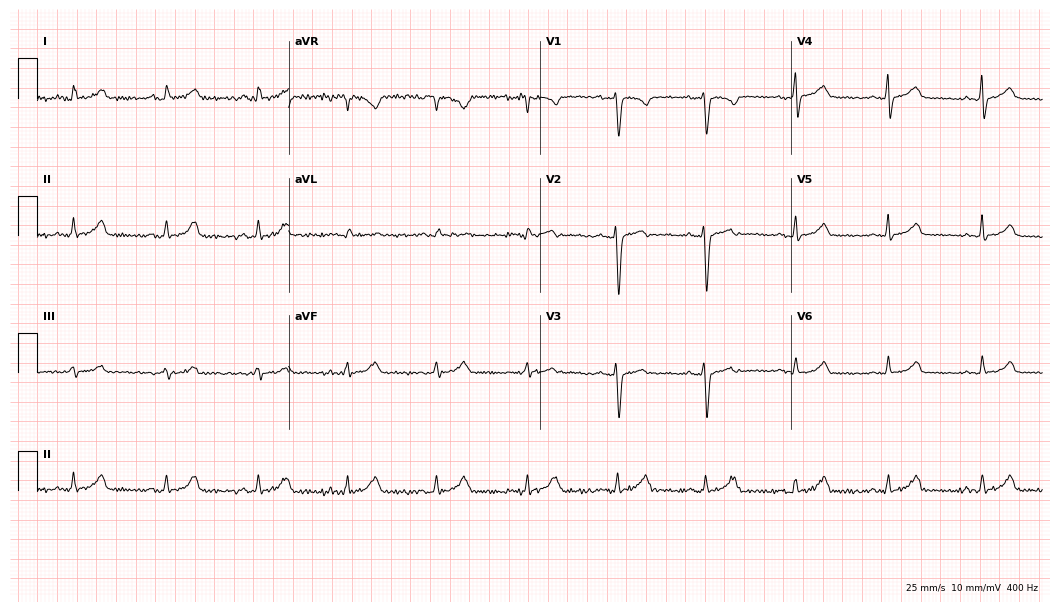
12-lead ECG from a 31-year-old woman (10.2-second recording at 400 Hz). No first-degree AV block, right bundle branch block, left bundle branch block, sinus bradycardia, atrial fibrillation or sinus tachycardia recorded for this tracing. Findings outside these six are not listed.